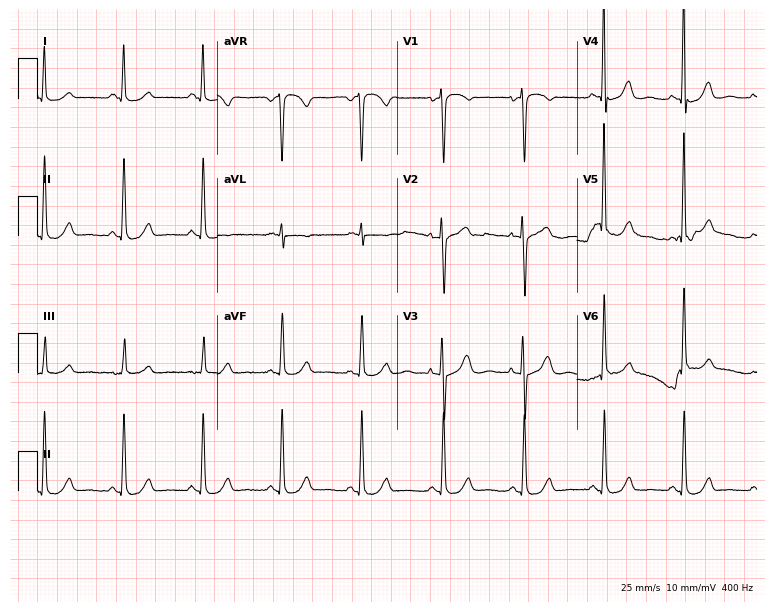
Electrocardiogram, a female patient, 64 years old. Of the six screened findings (first-degree AV block, right bundle branch block, left bundle branch block, sinus bradycardia, atrial fibrillation, sinus tachycardia), none is recorded. Only these six findings were labelled.